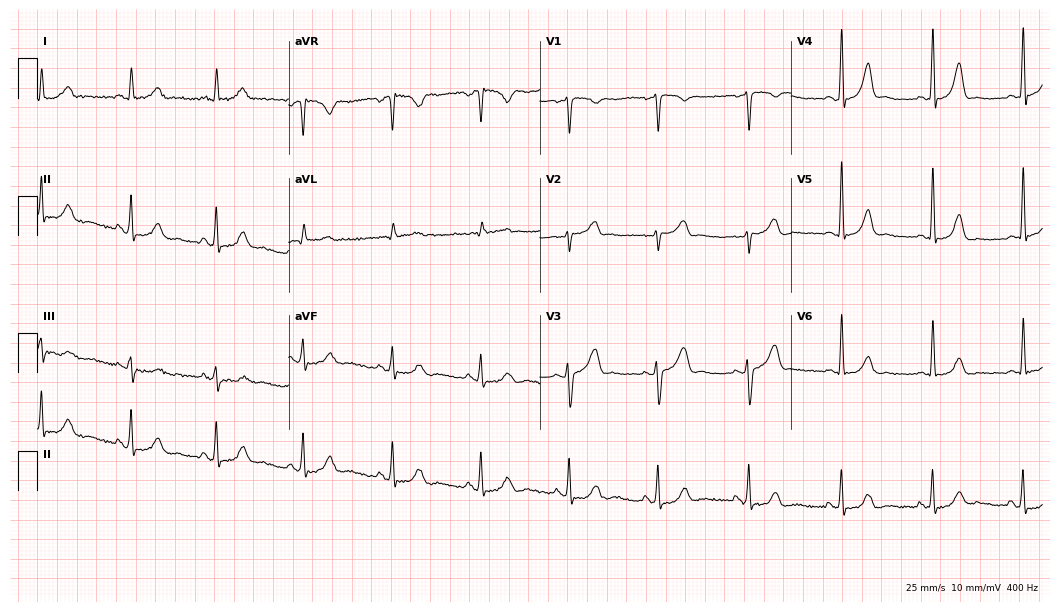
ECG (10.2-second recording at 400 Hz) — a 51-year-old woman. Labelled as a normal ECG.